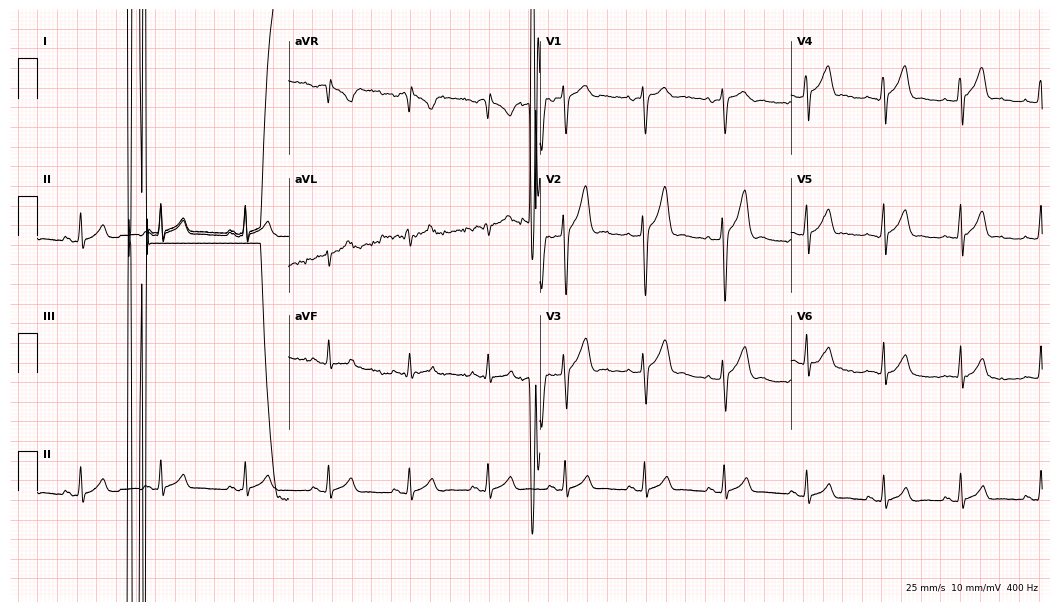
12-lead ECG from a male, 24 years old. No first-degree AV block, right bundle branch block, left bundle branch block, sinus bradycardia, atrial fibrillation or sinus tachycardia recorded for this tracing.